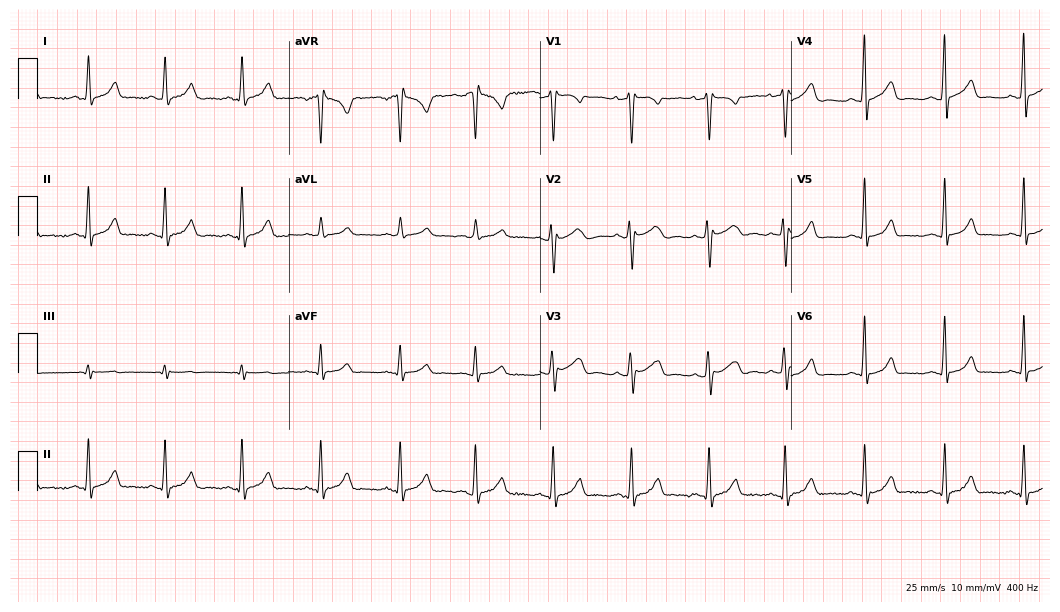
ECG — a 28-year-old woman. Screened for six findings — first-degree AV block, right bundle branch block, left bundle branch block, sinus bradycardia, atrial fibrillation, sinus tachycardia — none is recorded.